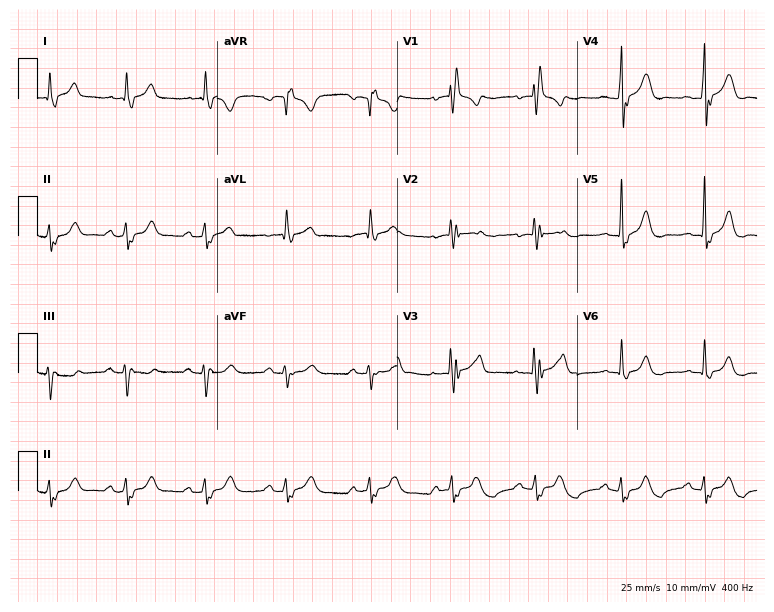
ECG (7.3-second recording at 400 Hz) — a 44-year-old man. Findings include right bundle branch block.